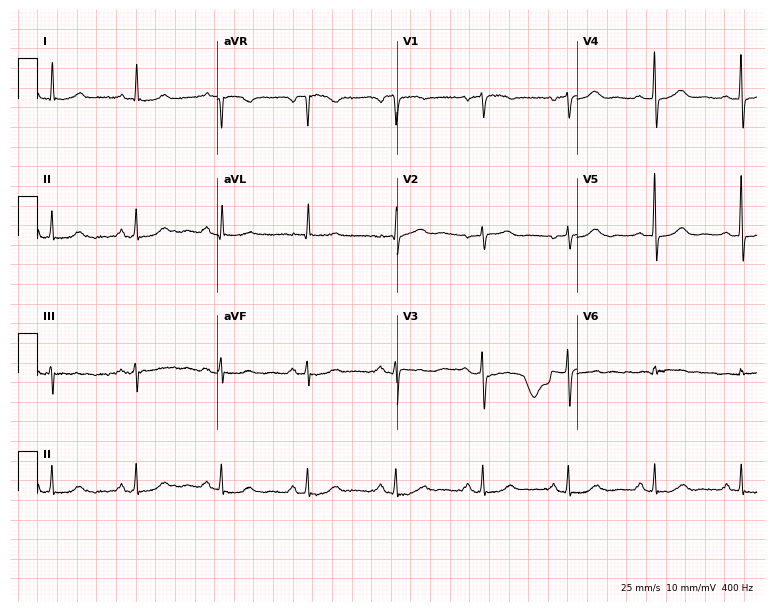
ECG (7.3-second recording at 400 Hz) — a 78-year-old woman. Labelled as a normal ECG.